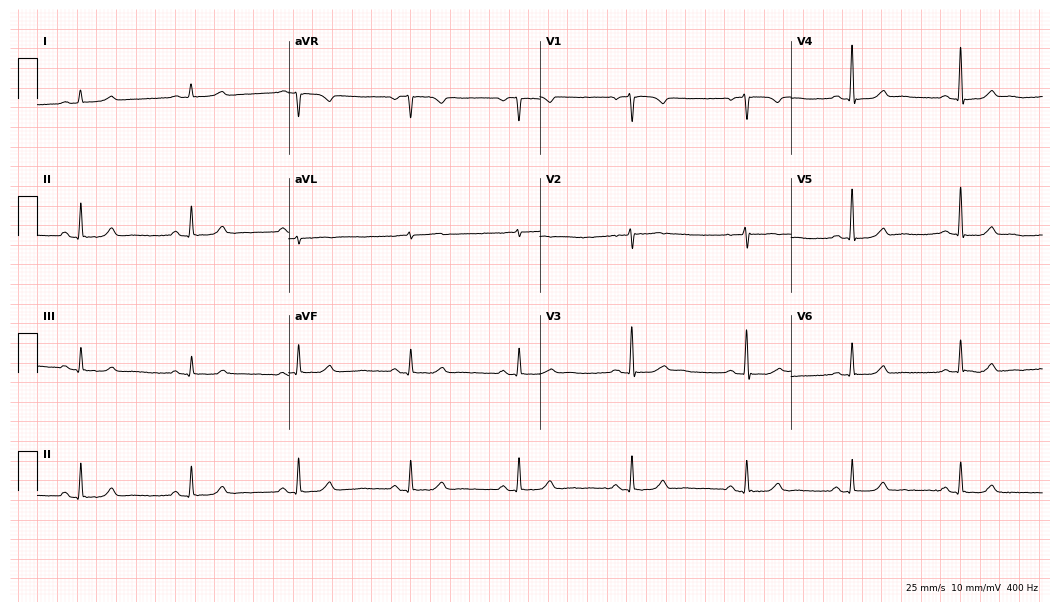
ECG — a female, 52 years old. Screened for six findings — first-degree AV block, right bundle branch block (RBBB), left bundle branch block (LBBB), sinus bradycardia, atrial fibrillation (AF), sinus tachycardia — none is recorded.